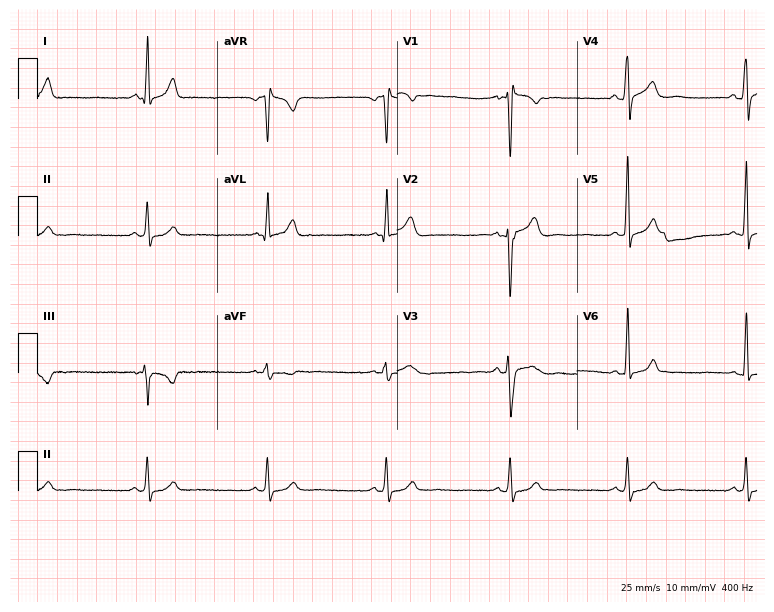
Standard 12-lead ECG recorded from a man, 40 years old. The tracing shows sinus bradycardia (a sinus rate of 50 beats per minute or less).